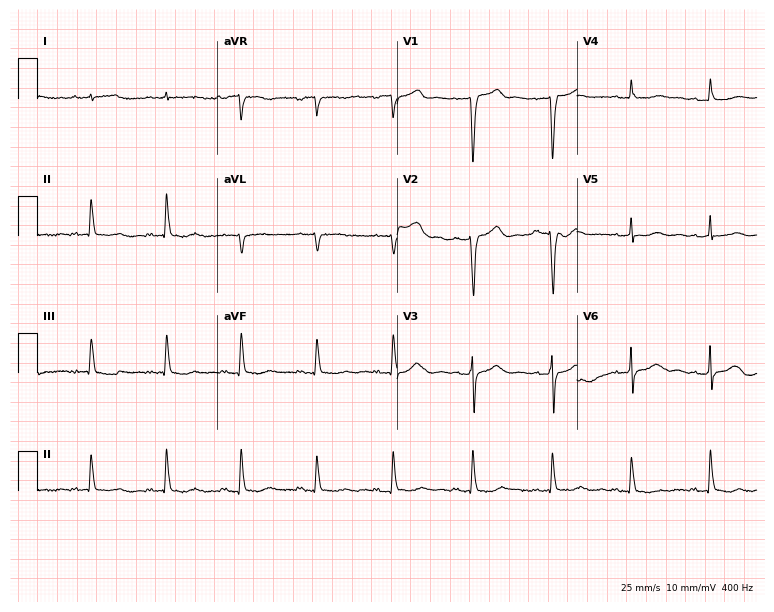
Resting 12-lead electrocardiogram (7.3-second recording at 400 Hz). Patient: a man, 74 years old. Read as a normal ECG.